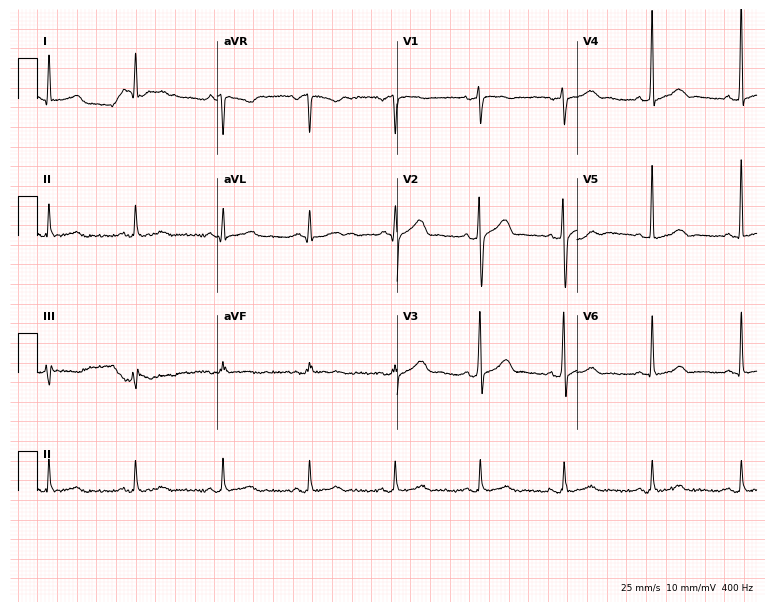
12-lead ECG from a male, 44 years old. Screened for six findings — first-degree AV block, right bundle branch block, left bundle branch block, sinus bradycardia, atrial fibrillation, sinus tachycardia — none is recorded. Other findings, if any, are not listed.